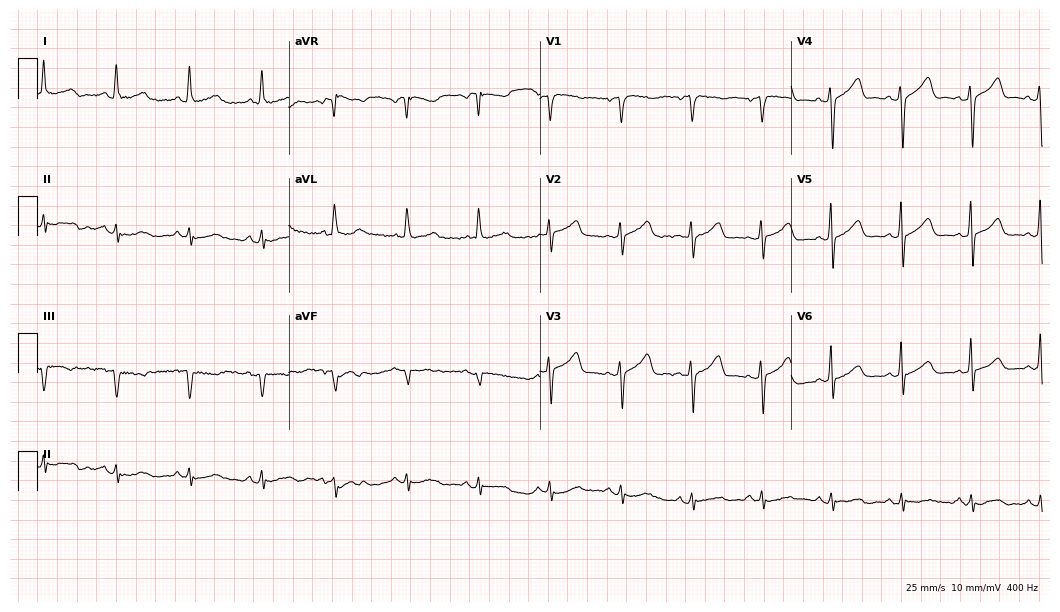
Resting 12-lead electrocardiogram. Patient: a 52-year-old female. None of these six findings is recorded: first-degree AV block, right bundle branch block, left bundle branch block, sinus bradycardia, atrial fibrillation, sinus tachycardia. Other findings, if any, are not listed.